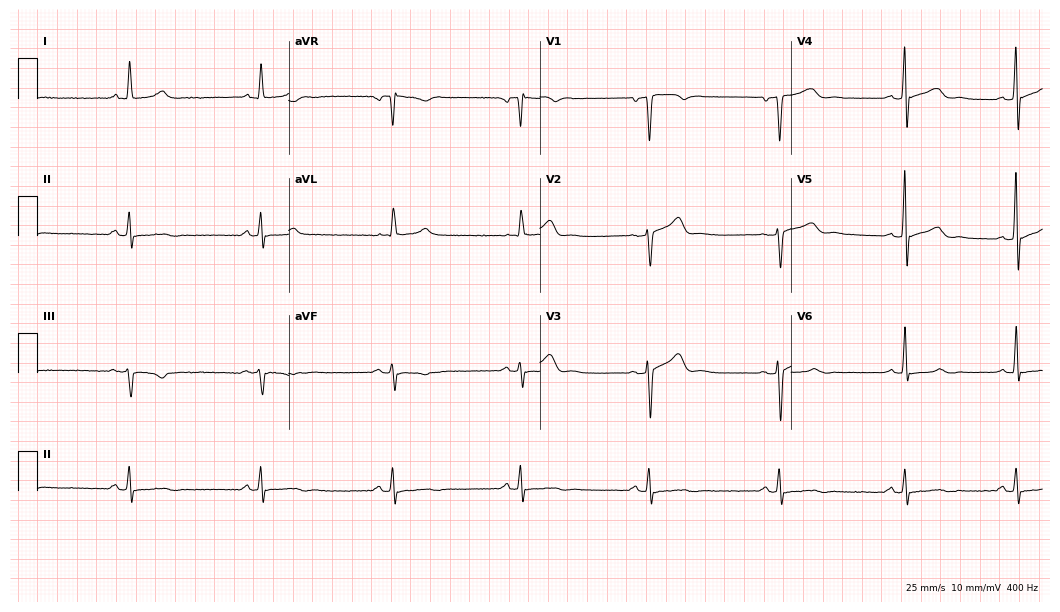
Resting 12-lead electrocardiogram. Patient: a male, 61 years old. The tracing shows sinus bradycardia (a sinus rate of 50 beats per minute or less).